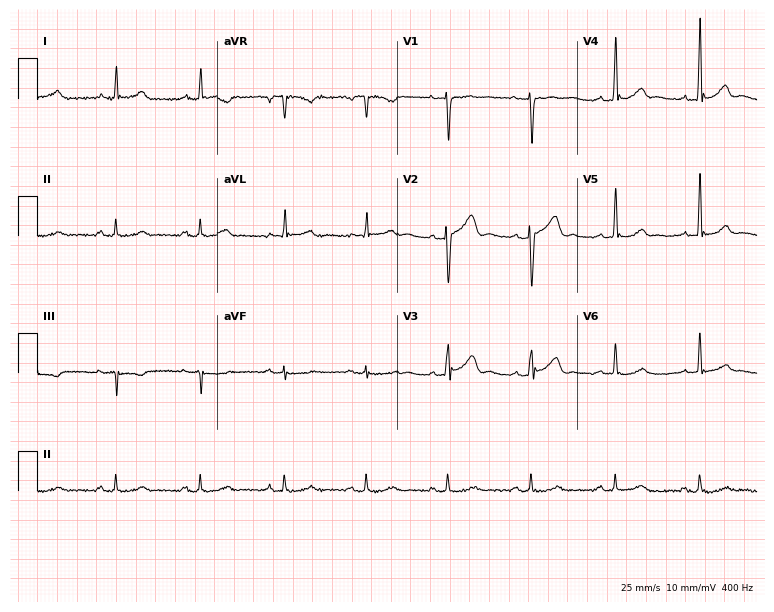
Standard 12-lead ECG recorded from a 44-year-old male patient. None of these six findings is recorded: first-degree AV block, right bundle branch block (RBBB), left bundle branch block (LBBB), sinus bradycardia, atrial fibrillation (AF), sinus tachycardia.